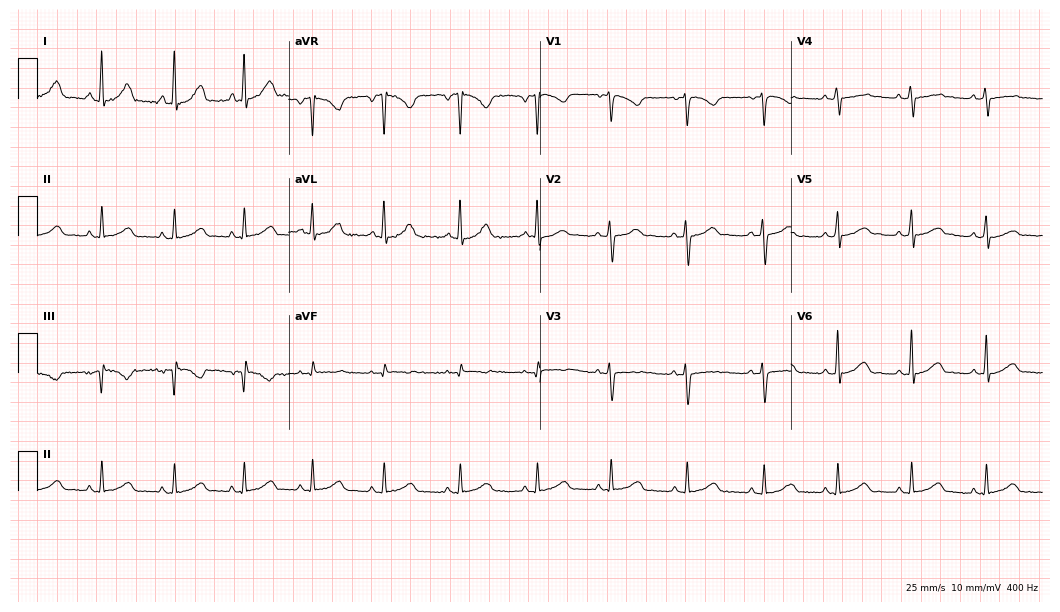
Resting 12-lead electrocardiogram. Patient: a female, 39 years old. Read as a normal ECG.